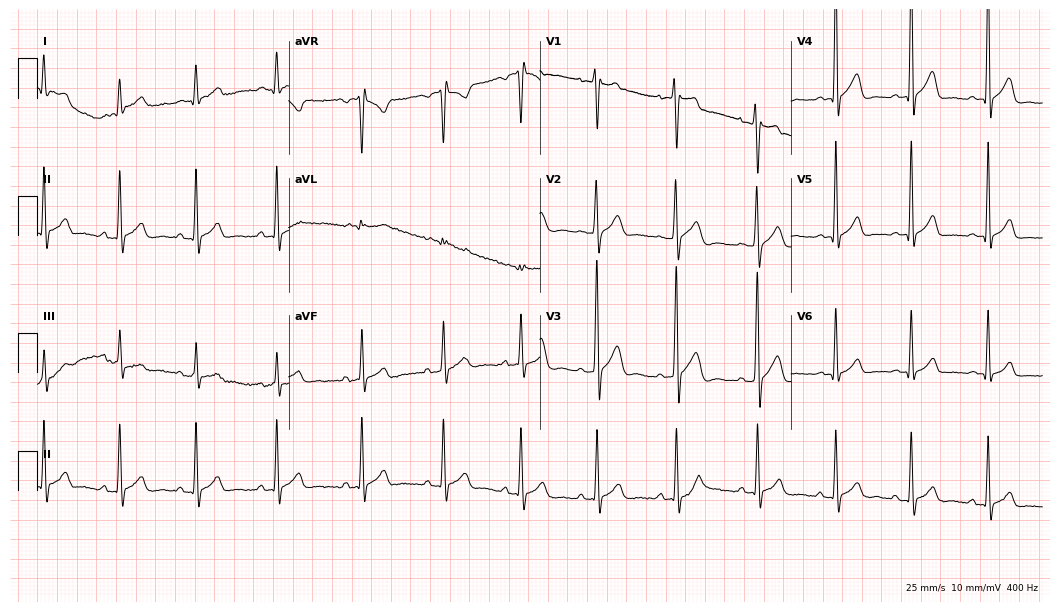
Standard 12-lead ECG recorded from a 21-year-old male patient (10.2-second recording at 400 Hz). Read as a normal ECG.